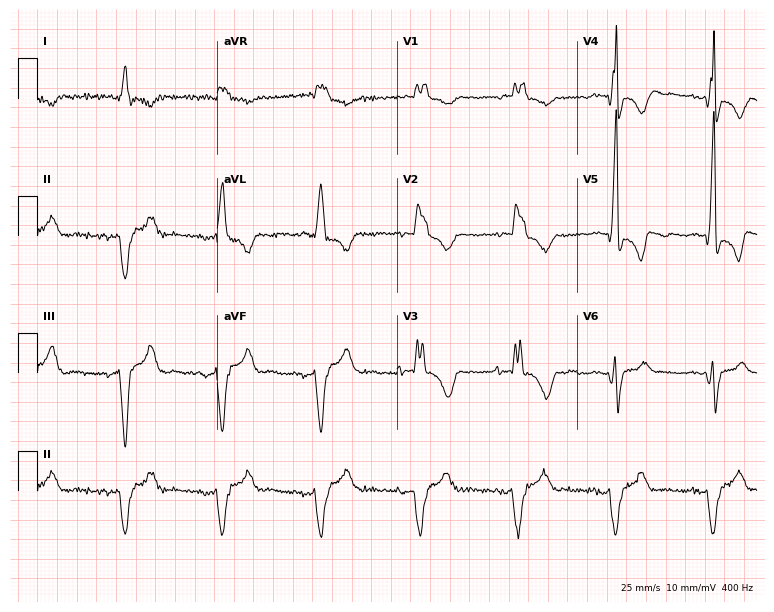
12-lead ECG (7.3-second recording at 400 Hz) from a man, 74 years old. Findings include right bundle branch block.